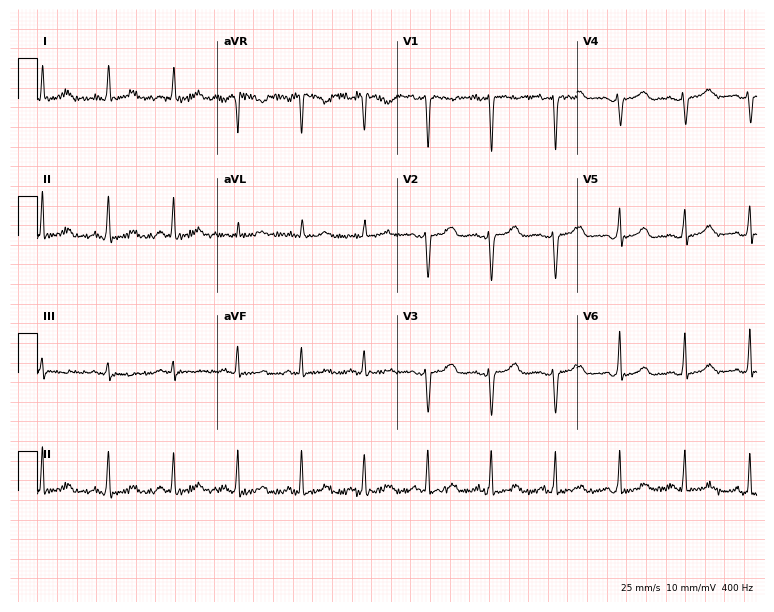
Resting 12-lead electrocardiogram. Patient: a 42-year-old female. Read as a normal ECG.